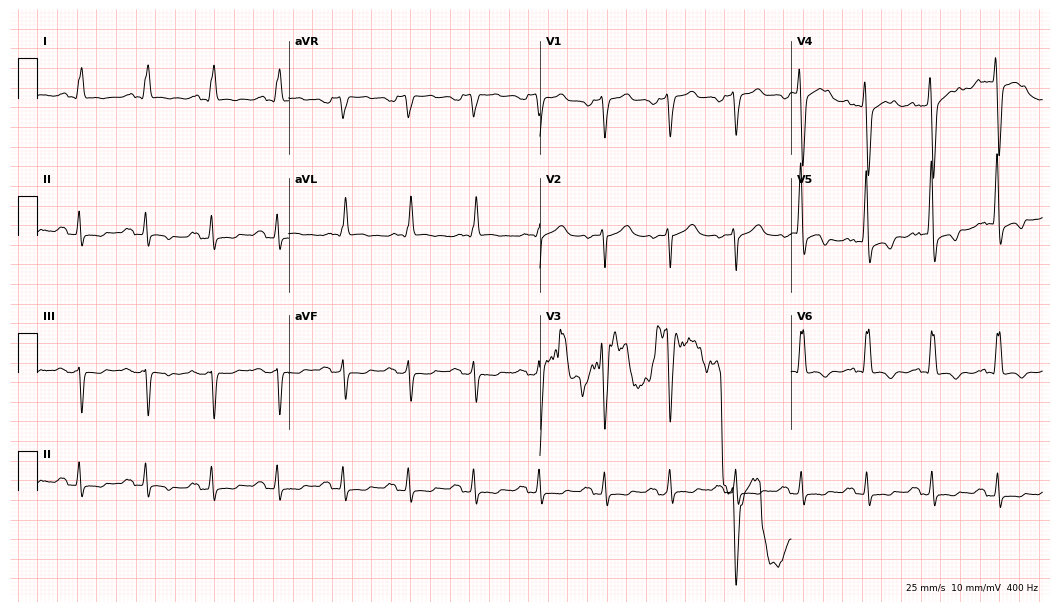
Resting 12-lead electrocardiogram (10.2-second recording at 400 Hz). Patient: a 59-year-old male. The tracing shows left bundle branch block (LBBB).